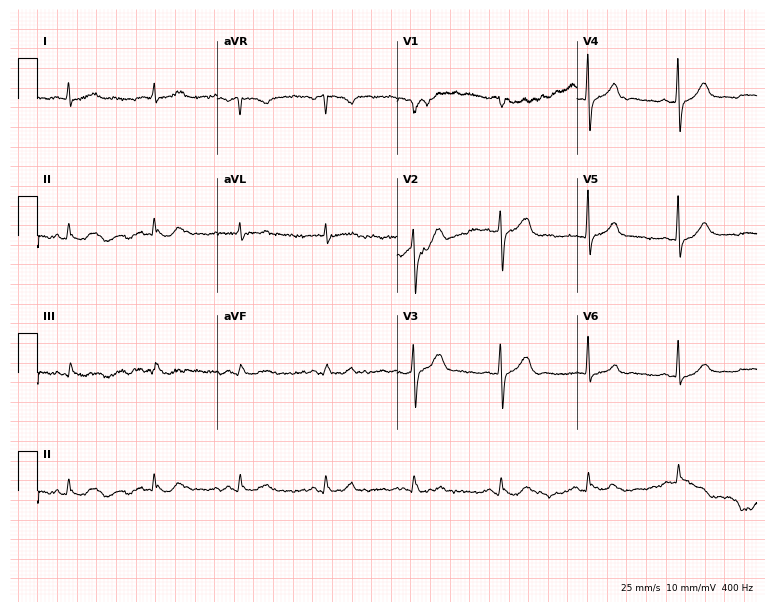
ECG — a male patient, 58 years old. Labelled as a normal ECG.